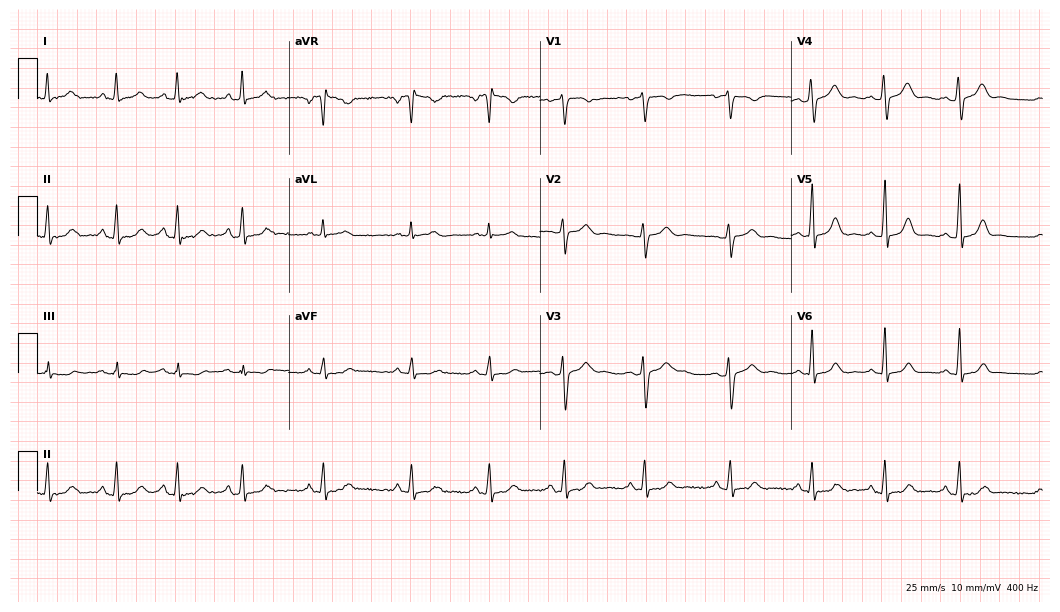
Resting 12-lead electrocardiogram (10.2-second recording at 400 Hz). Patient: a 27-year-old woman. Read as a normal ECG.